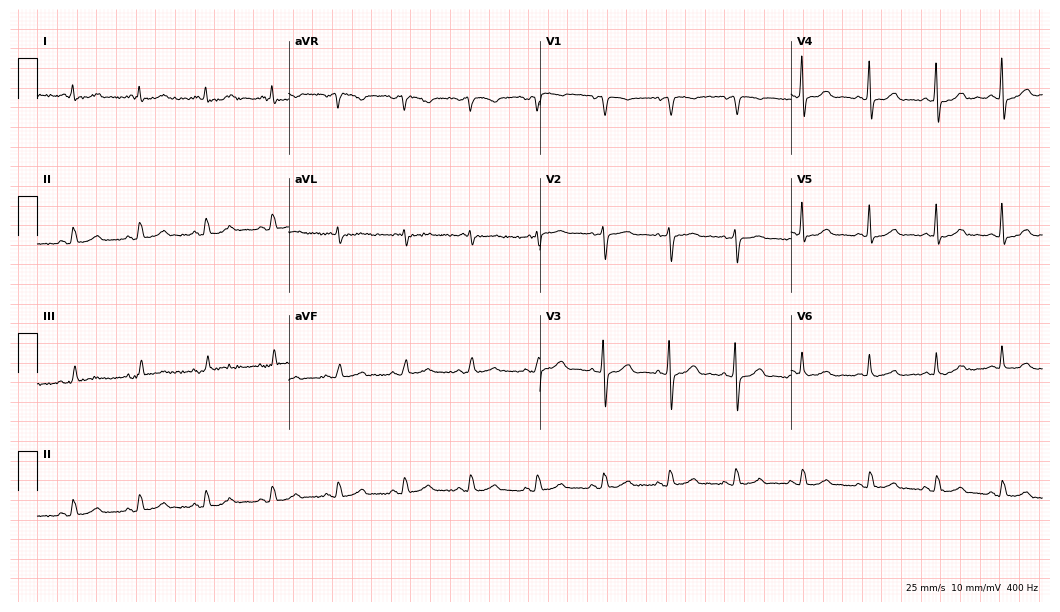
12-lead ECG from a 70-year-old female patient. Recorded interpretation: within normal limits.